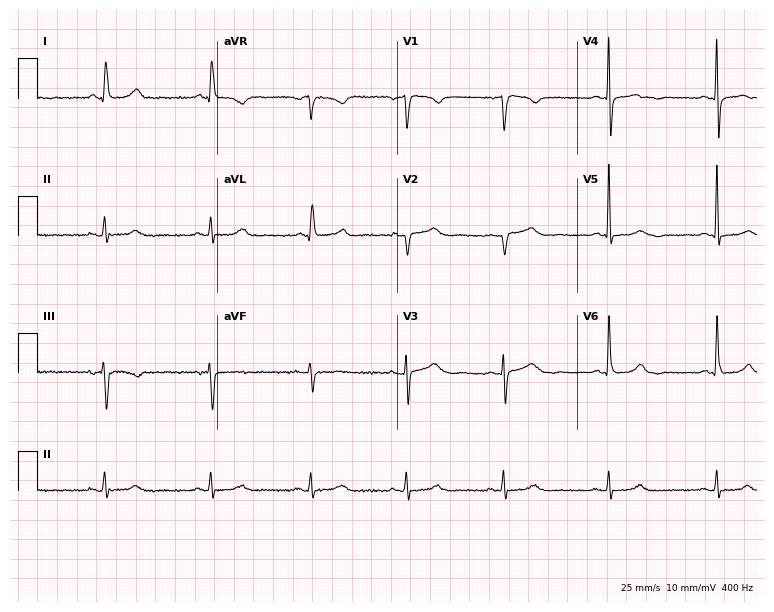
Standard 12-lead ECG recorded from a female, 70 years old (7.3-second recording at 400 Hz). None of these six findings is recorded: first-degree AV block, right bundle branch block, left bundle branch block, sinus bradycardia, atrial fibrillation, sinus tachycardia.